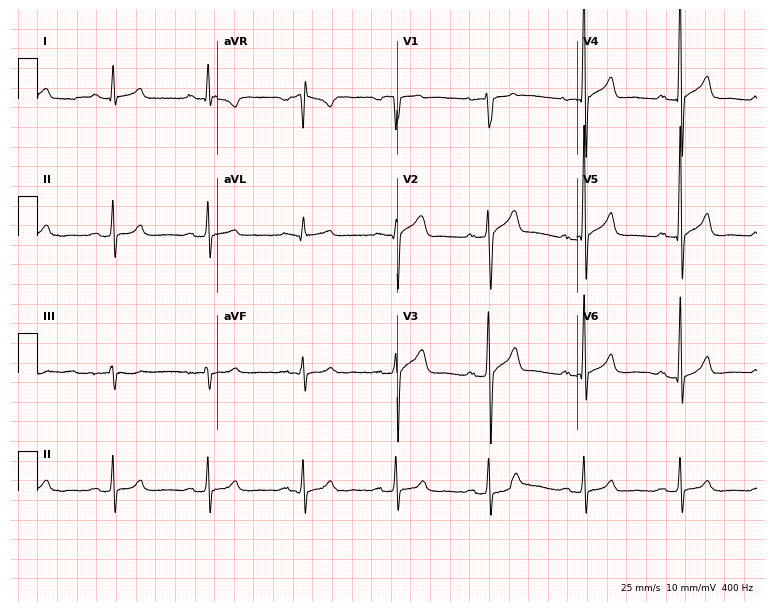
Electrocardiogram (7.3-second recording at 400 Hz), a man, 58 years old. Overall reading on record: normal ECG.